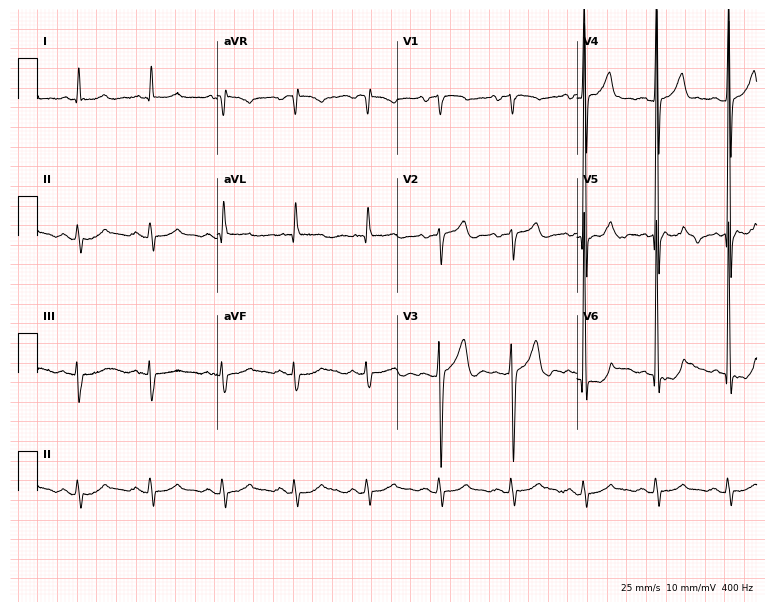
Standard 12-lead ECG recorded from a 60-year-old male patient (7.3-second recording at 400 Hz). None of these six findings is recorded: first-degree AV block, right bundle branch block (RBBB), left bundle branch block (LBBB), sinus bradycardia, atrial fibrillation (AF), sinus tachycardia. Other findings, if any, are not listed.